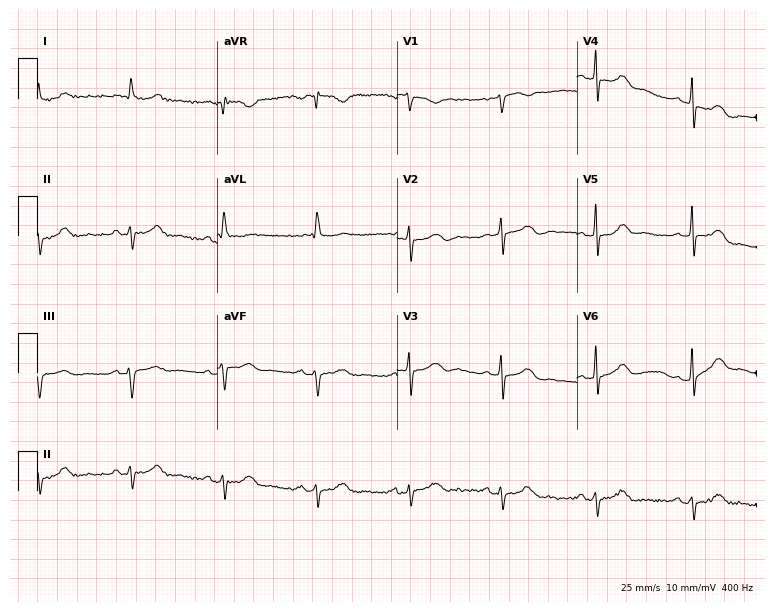
12-lead ECG from a female patient, 72 years old. Screened for six findings — first-degree AV block, right bundle branch block (RBBB), left bundle branch block (LBBB), sinus bradycardia, atrial fibrillation (AF), sinus tachycardia — none is recorded. Findings outside these six are not listed.